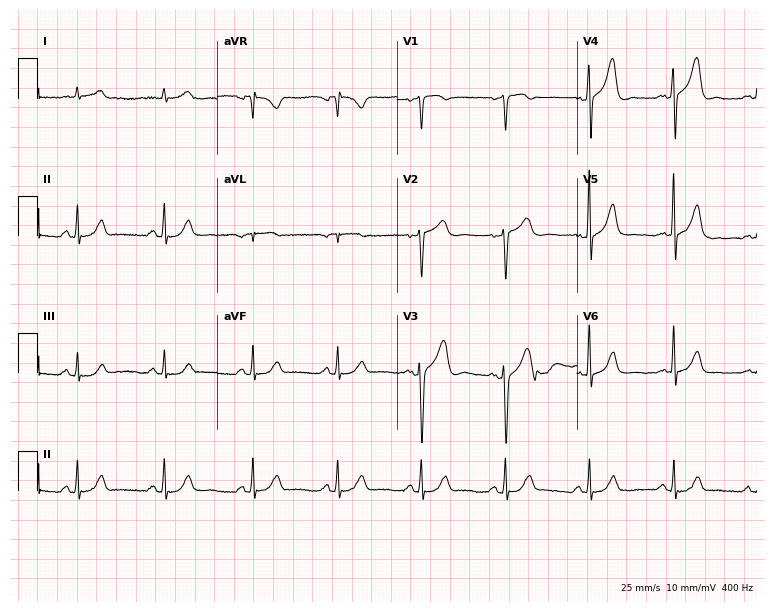
12-lead ECG from a 55-year-old man. Screened for six findings — first-degree AV block, right bundle branch block, left bundle branch block, sinus bradycardia, atrial fibrillation, sinus tachycardia — none is recorded. Other findings, if any, are not listed.